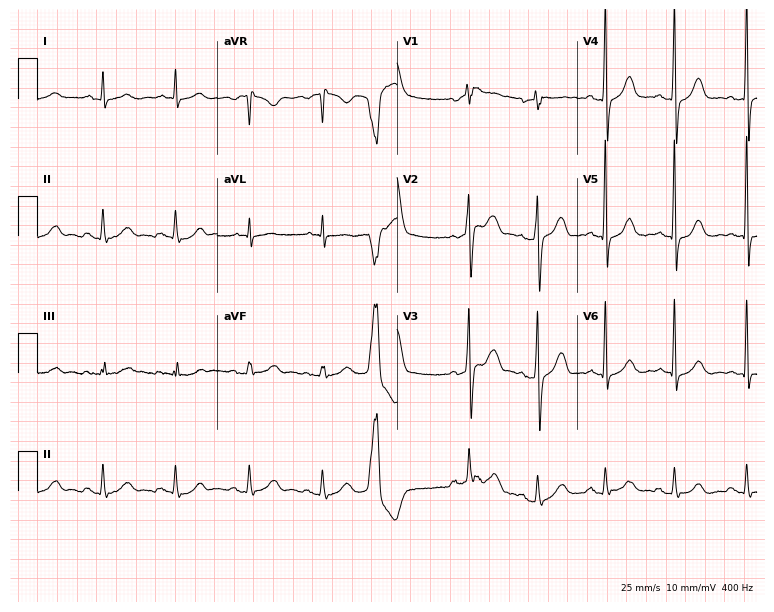
Resting 12-lead electrocardiogram (7.3-second recording at 400 Hz). Patient: a man, 54 years old. None of these six findings is recorded: first-degree AV block, right bundle branch block, left bundle branch block, sinus bradycardia, atrial fibrillation, sinus tachycardia. Other findings, if any, are not listed.